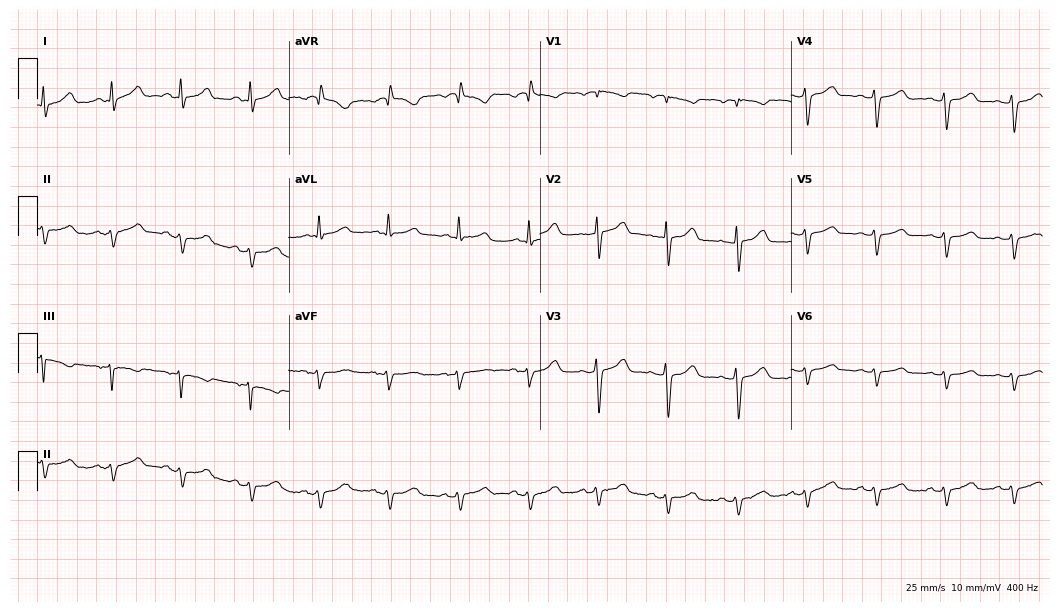
Resting 12-lead electrocardiogram. Patient: a female, 44 years old. None of these six findings is recorded: first-degree AV block, right bundle branch block, left bundle branch block, sinus bradycardia, atrial fibrillation, sinus tachycardia. Findings outside these six are not listed.